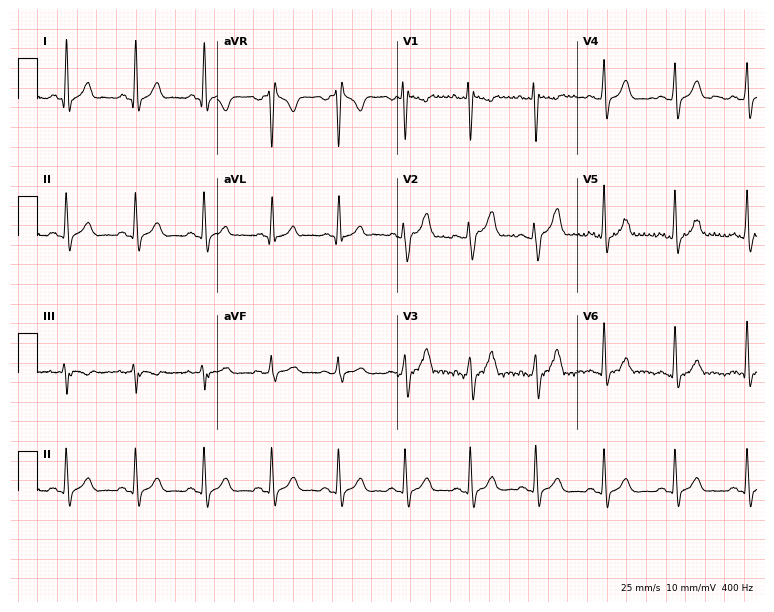
Electrocardiogram (7.3-second recording at 400 Hz), a man, 36 years old. Of the six screened findings (first-degree AV block, right bundle branch block, left bundle branch block, sinus bradycardia, atrial fibrillation, sinus tachycardia), none is recorded. Only these six findings were labelled.